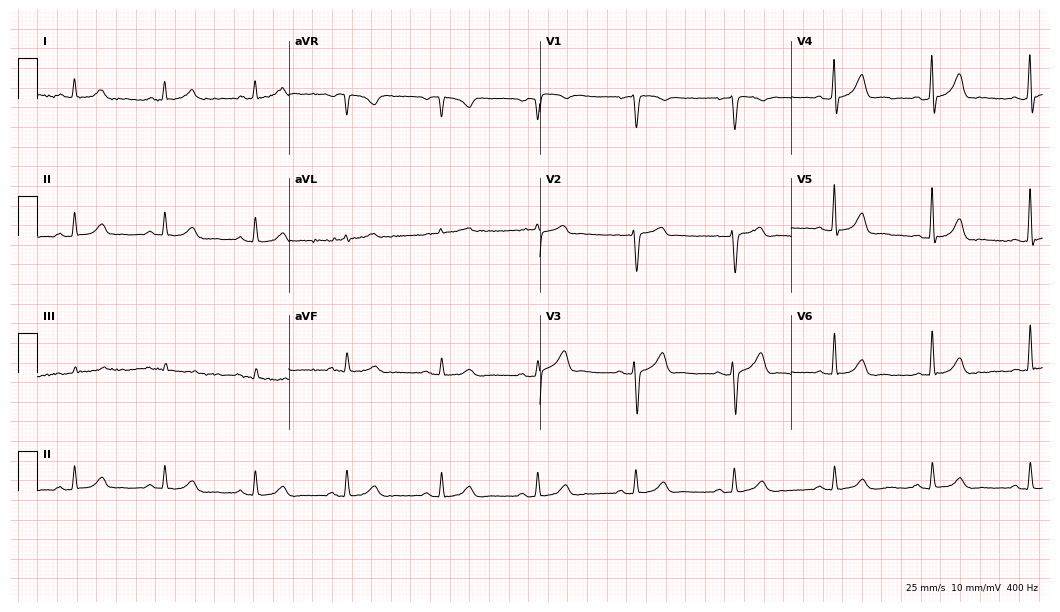
12-lead ECG from a 73-year-old man. Screened for six findings — first-degree AV block, right bundle branch block, left bundle branch block, sinus bradycardia, atrial fibrillation, sinus tachycardia — none is recorded.